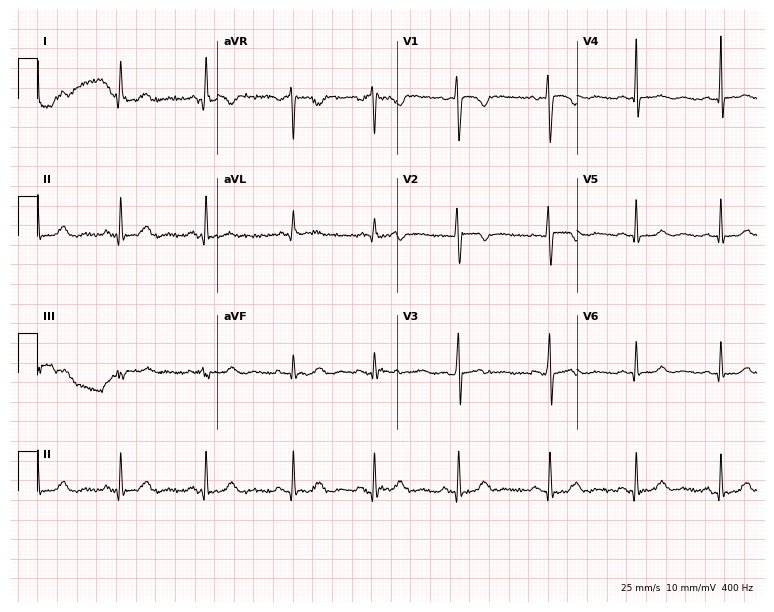
Standard 12-lead ECG recorded from a female patient, 29 years old (7.3-second recording at 400 Hz). None of these six findings is recorded: first-degree AV block, right bundle branch block (RBBB), left bundle branch block (LBBB), sinus bradycardia, atrial fibrillation (AF), sinus tachycardia.